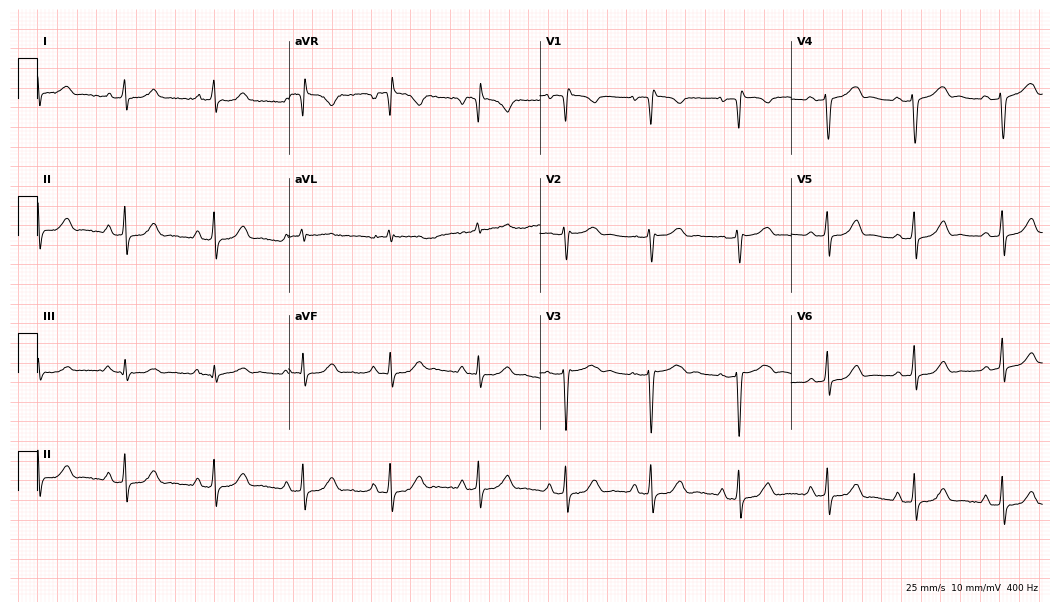
Electrocardiogram, a female, 44 years old. Of the six screened findings (first-degree AV block, right bundle branch block (RBBB), left bundle branch block (LBBB), sinus bradycardia, atrial fibrillation (AF), sinus tachycardia), none is recorded.